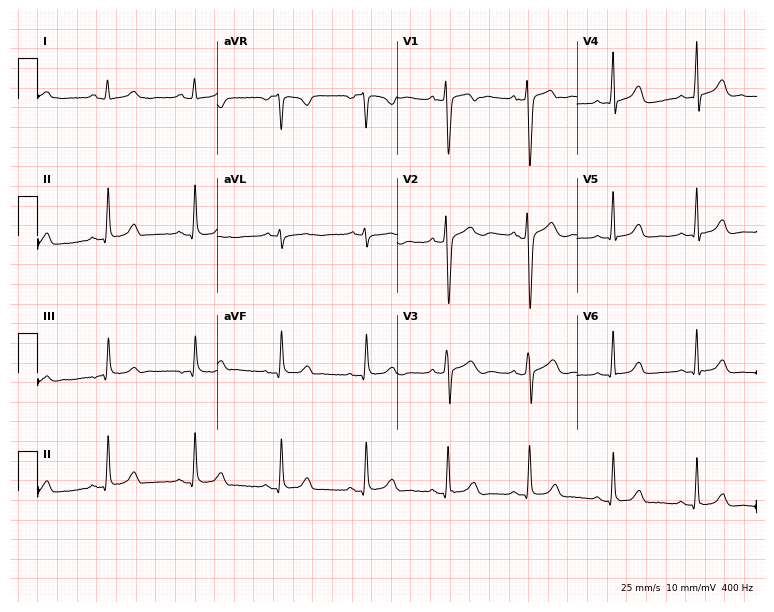
Standard 12-lead ECG recorded from a 33-year-old female (7.3-second recording at 400 Hz). None of these six findings is recorded: first-degree AV block, right bundle branch block (RBBB), left bundle branch block (LBBB), sinus bradycardia, atrial fibrillation (AF), sinus tachycardia.